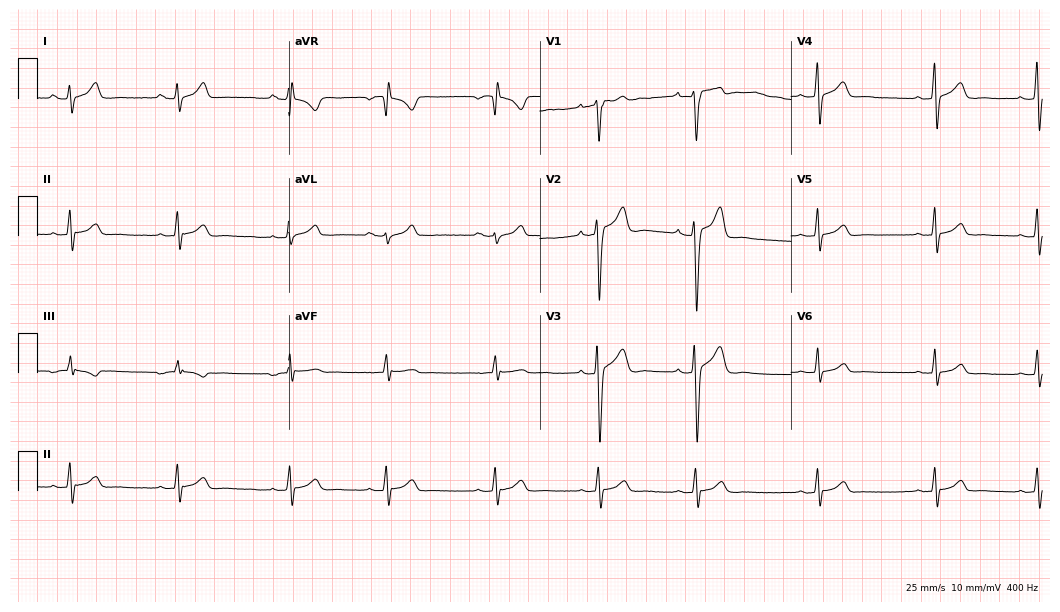
Standard 12-lead ECG recorded from a man, 22 years old. Read as a normal ECG.